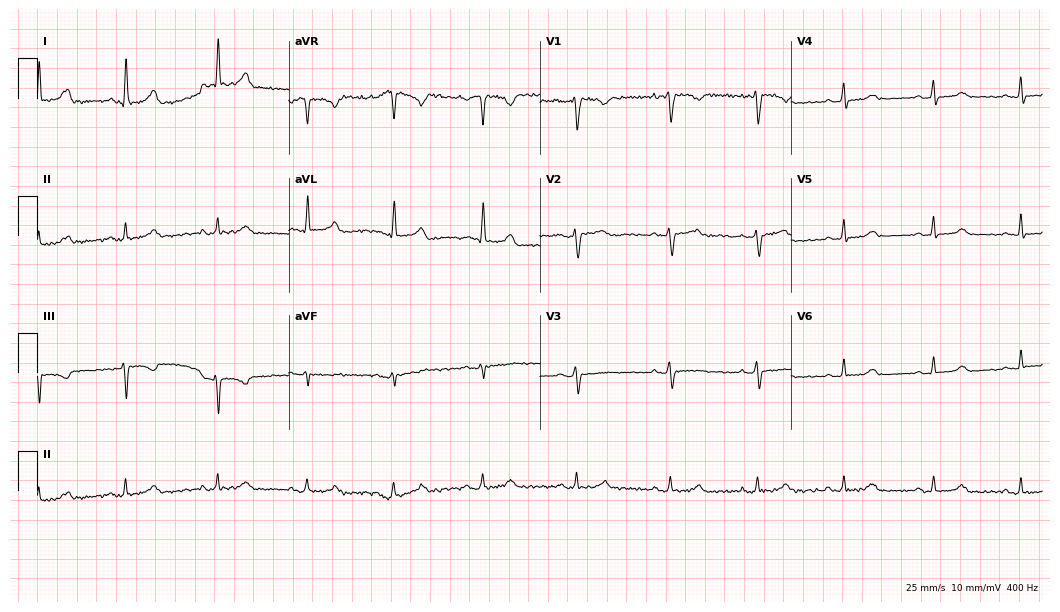
Electrocardiogram, a female patient, 41 years old. Overall reading on record: normal ECG.